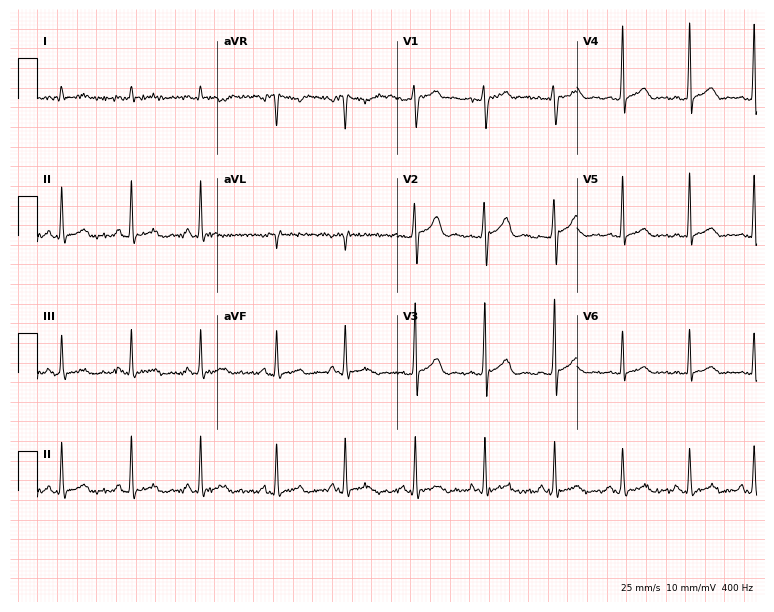
Resting 12-lead electrocardiogram (7.3-second recording at 400 Hz). Patient: a man, 33 years old. None of these six findings is recorded: first-degree AV block, right bundle branch block, left bundle branch block, sinus bradycardia, atrial fibrillation, sinus tachycardia.